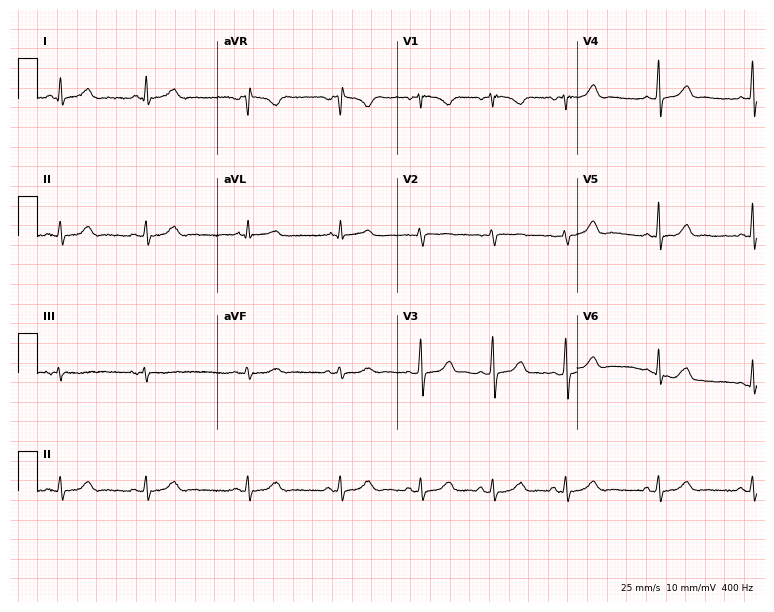
Standard 12-lead ECG recorded from a female, 25 years old. None of these six findings is recorded: first-degree AV block, right bundle branch block (RBBB), left bundle branch block (LBBB), sinus bradycardia, atrial fibrillation (AF), sinus tachycardia.